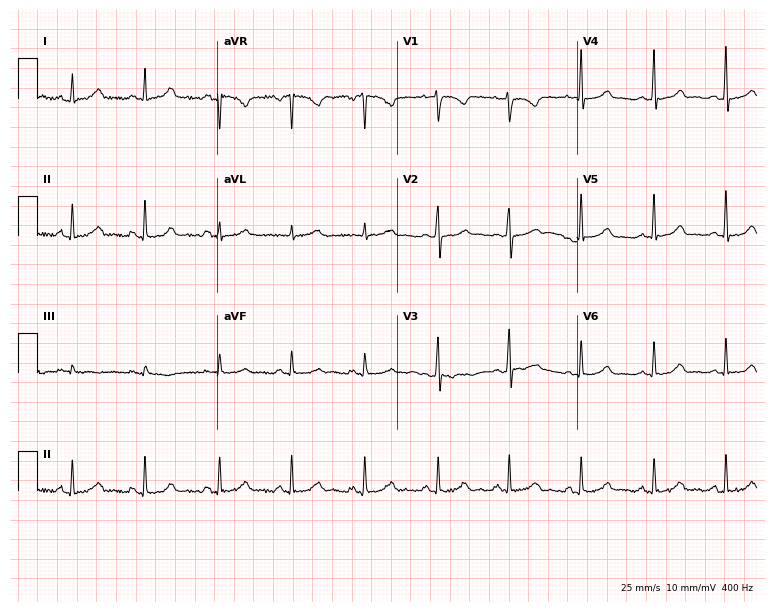
12-lead ECG from a woman, 30 years old. Labelled as a normal ECG.